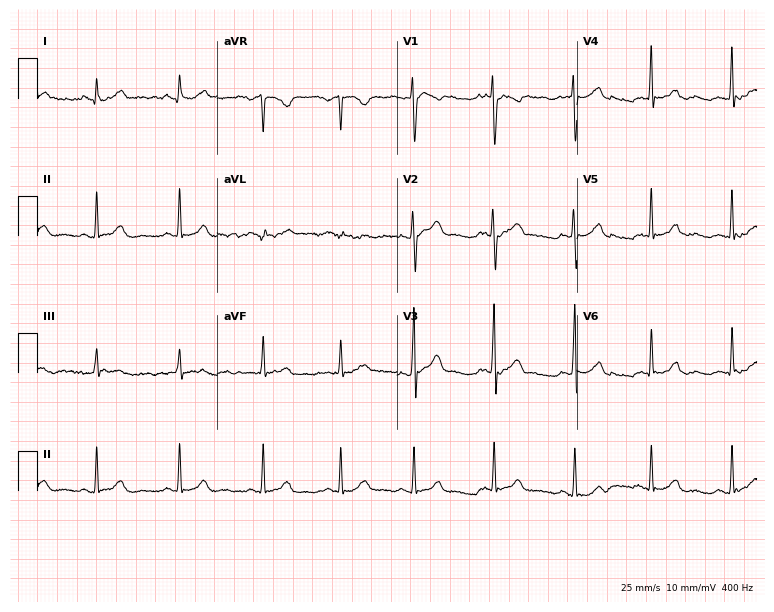
12-lead ECG from a 28-year-old female patient (7.3-second recording at 400 Hz). Recorded interpretation: within normal limits.